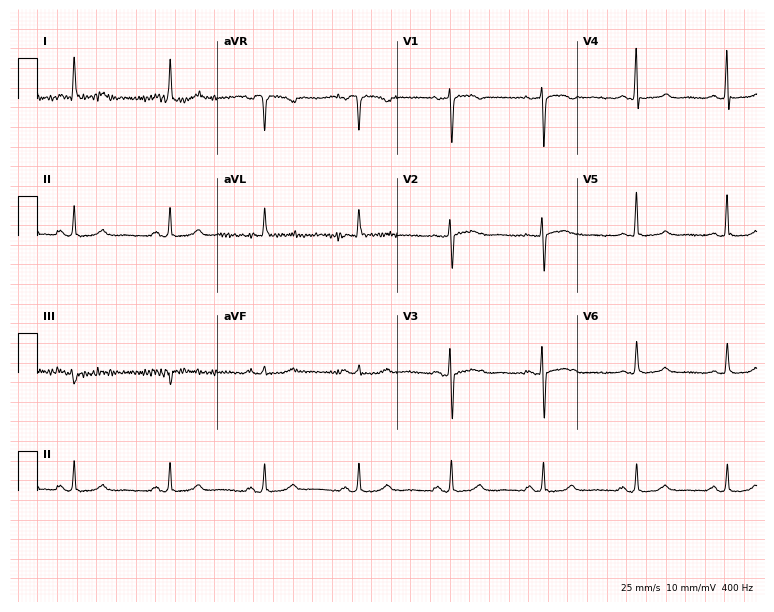
Electrocardiogram (7.3-second recording at 400 Hz), a woman, 61 years old. Of the six screened findings (first-degree AV block, right bundle branch block, left bundle branch block, sinus bradycardia, atrial fibrillation, sinus tachycardia), none is recorded. Other findings, if any, are not listed.